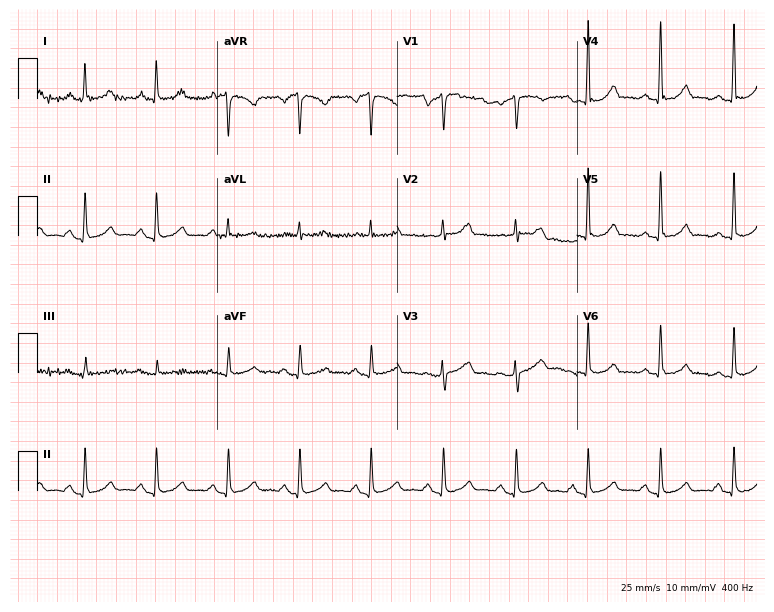
Resting 12-lead electrocardiogram. Patient: a female, 56 years old. Read as a normal ECG.